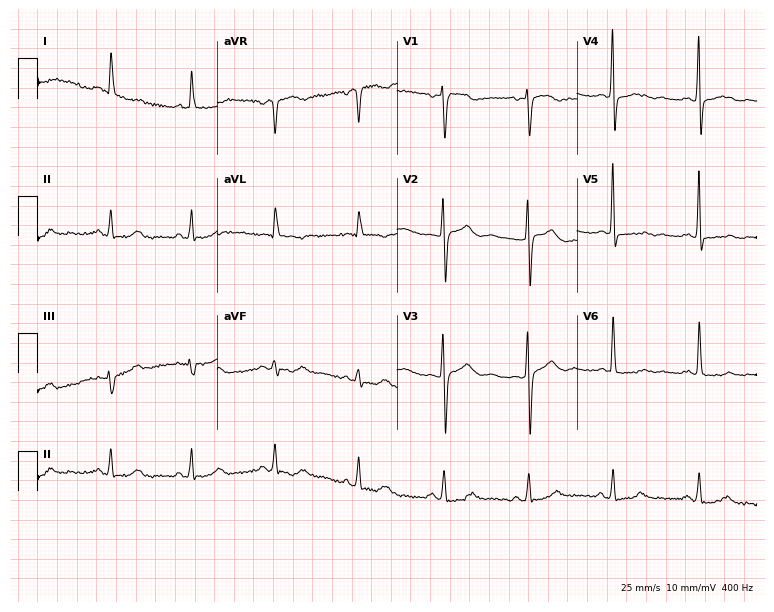
Standard 12-lead ECG recorded from a 59-year-old female. None of these six findings is recorded: first-degree AV block, right bundle branch block, left bundle branch block, sinus bradycardia, atrial fibrillation, sinus tachycardia.